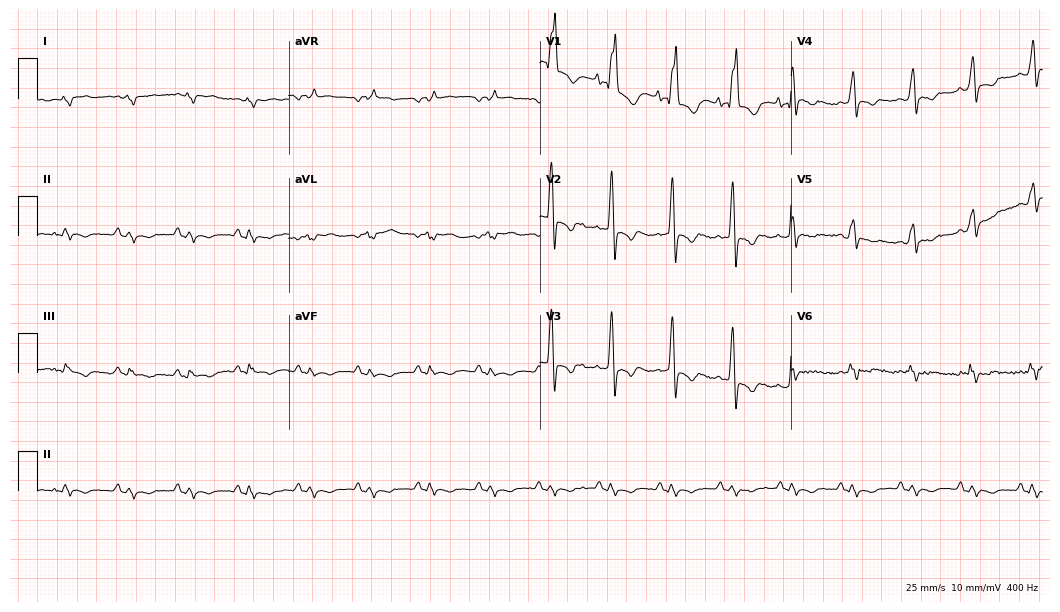
12-lead ECG from a 79-year-old male patient. Findings include right bundle branch block (RBBB).